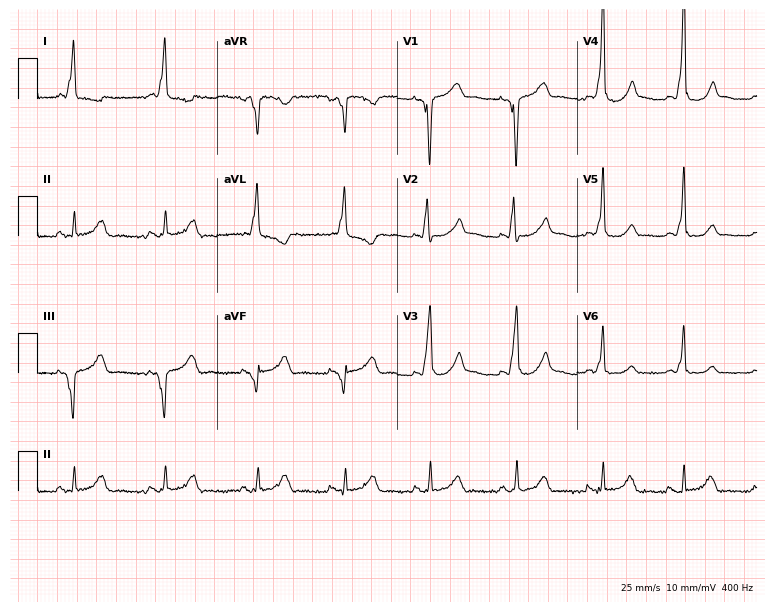
Resting 12-lead electrocardiogram. Patient: a 29-year-old woman. None of these six findings is recorded: first-degree AV block, right bundle branch block, left bundle branch block, sinus bradycardia, atrial fibrillation, sinus tachycardia. Only these six findings were labelled.